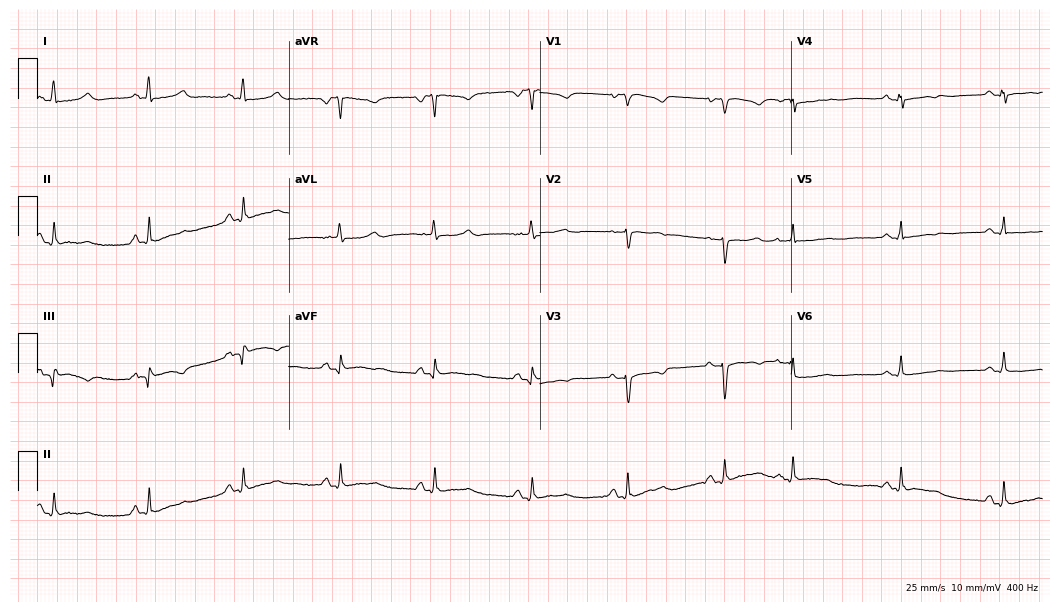
Resting 12-lead electrocardiogram. Patient: a female, 72 years old. Read as a normal ECG.